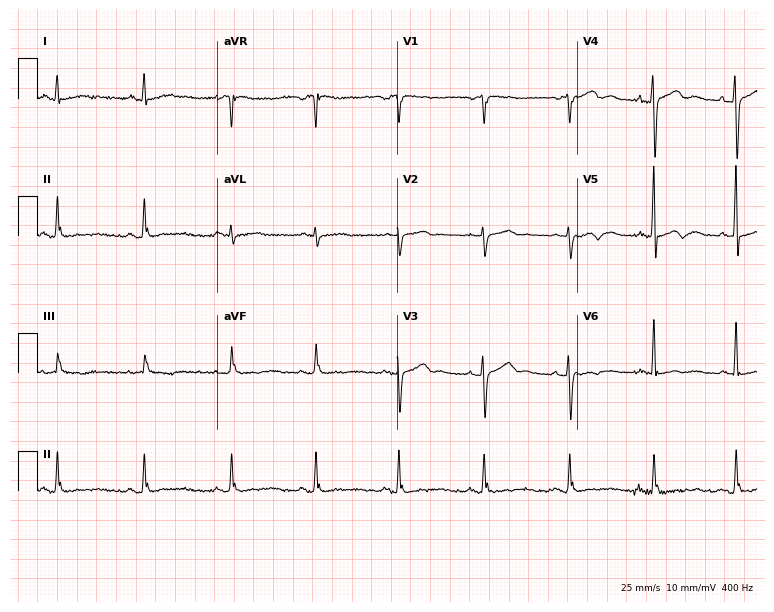
Standard 12-lead ECG recorded from a 46-year-old female patient. None of these six findings is recorded: first-degree AV block, right bundle branch block, left bundle branch block, sinus bradycardia, atrial fibrillation, sinus tachycardia.